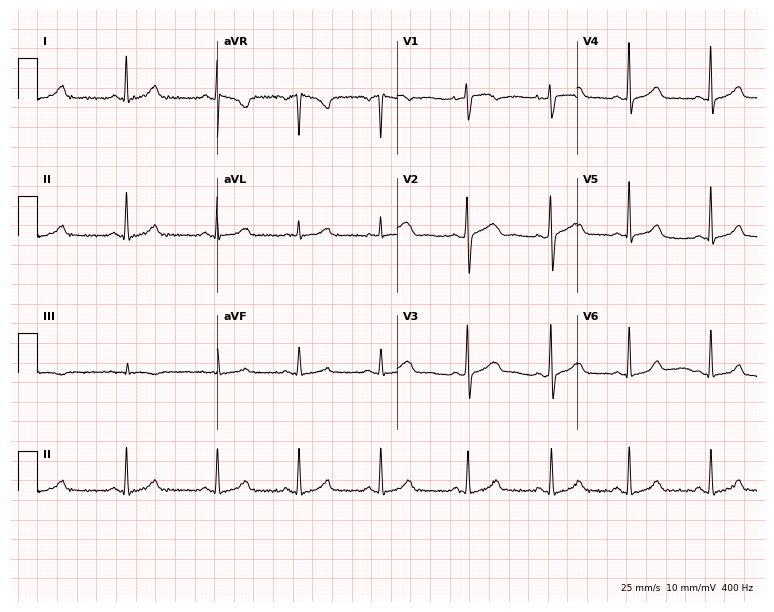
Standard 12-lead ECG recorded from a woman, 32 years old. Read as a normal ECG.